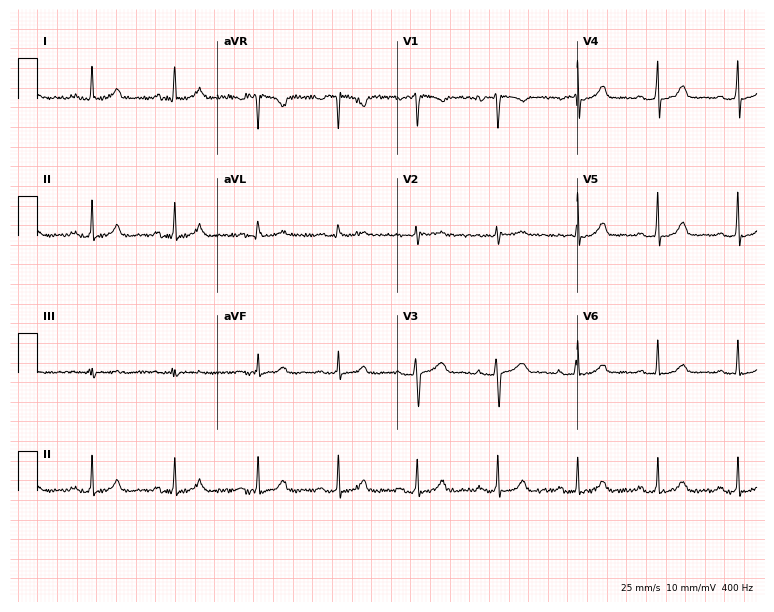
12-lead ECG from a female, 42 years old (7.3-second recording at 400 Hz). Recorded interpretation: within normal limits.